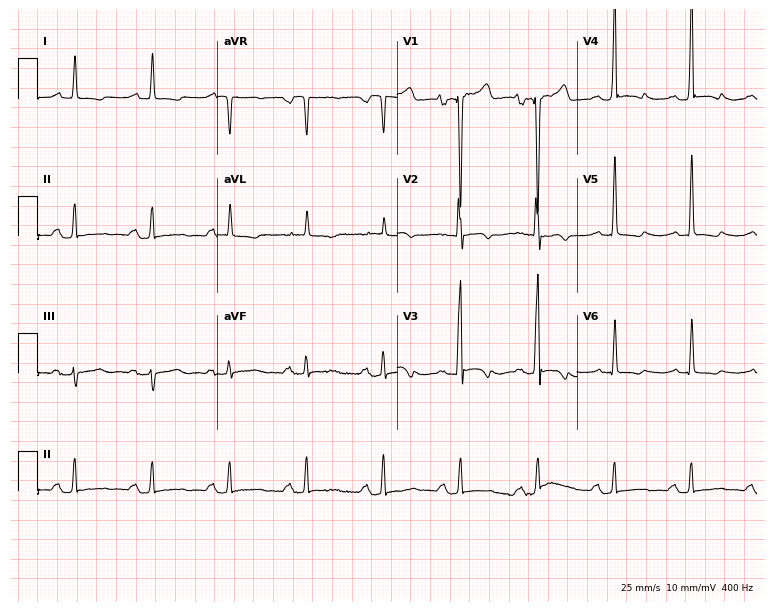
Resting 12-lead electrocardiogram (7.3-second recording at 400 Hz). Patient: a man, 42 years old. None of these six findings is recorded: first-degree AV block, right bundle branch block, left bundle branch block, sinus bradycardia, atrial fibrillation, sinus tachycardia. Findings outside these six are not listed.